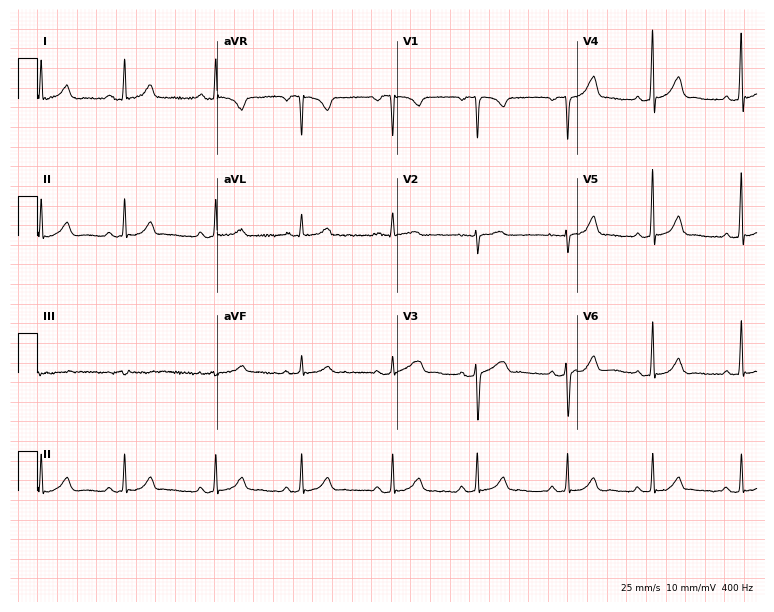
Resting 12-lead electrocardiogram (7.3-second recording at 400 Hz). Patient: a 26-year-old female. Read as a normal ECG.